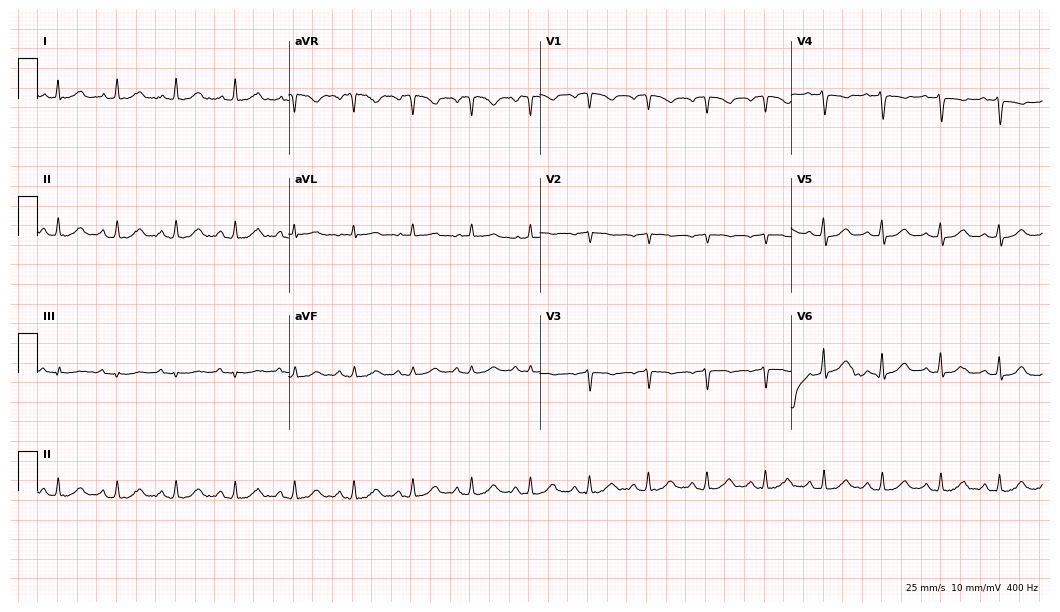
Electrocardiogram (10.2-second recording at 400 Hz), a 72-year-old female. Interpretation includes sinus tachycardia (a sinus rate of 100 beats per minute or more).